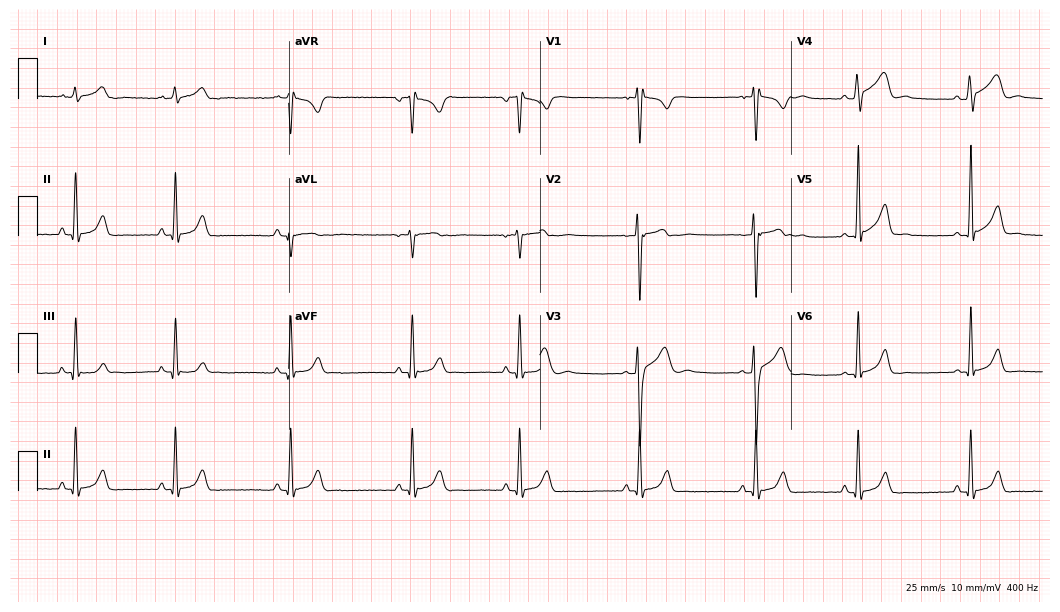
12-lead ECG (10.2-second recording at 400 Hz) from a male, 20 years old. Screened for six findings — first-degree AV block, right bundle branch block, left bundle branch block, sinus bradycardia, atrial fibrillation, sinus tachycardia — none is recorded. Other findings, if any, are not listed.